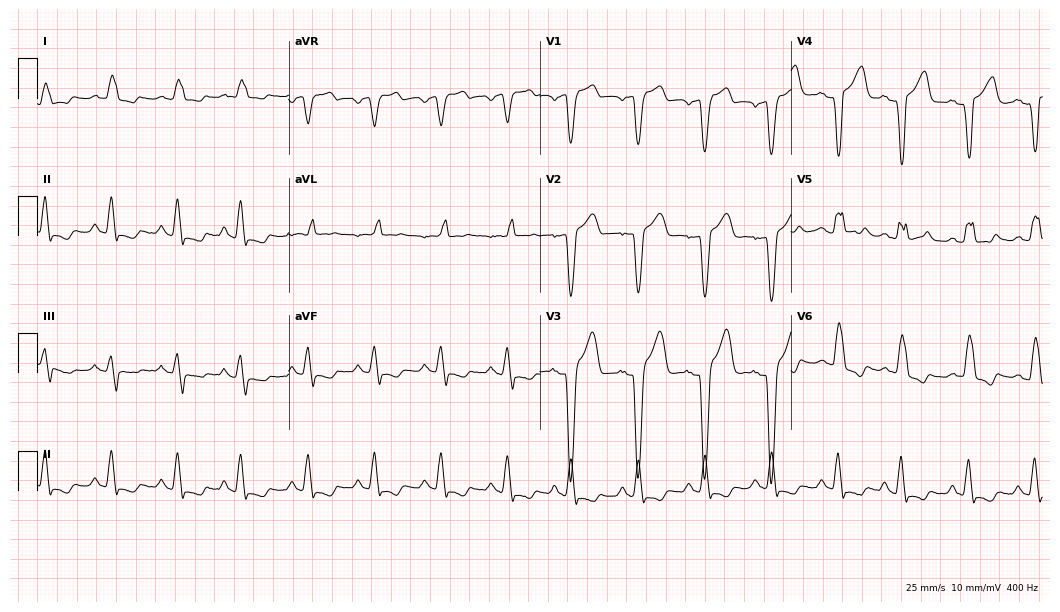
12-lead ECG from a 72-year-old male. Shows left bundle branch block (LBBB).